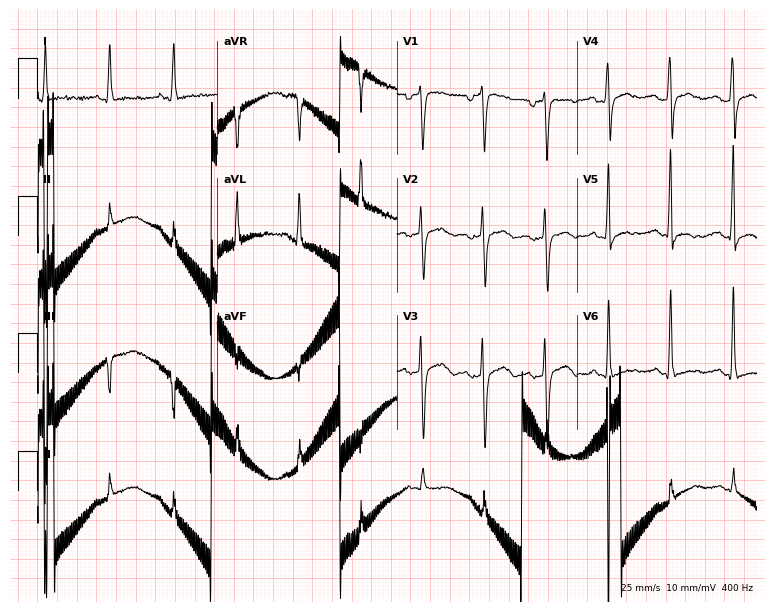
Standard 12-lead ECG recorded from a woman, 61 years old (7.3-second recording at 400 Hz). None of these six findings is recorded: first-degree AV block, right bundle branch block, left bundle branch block, sinus bradycardia, atrial fibrillation, sinus tachycardia. Other findings, if any, are not listed.